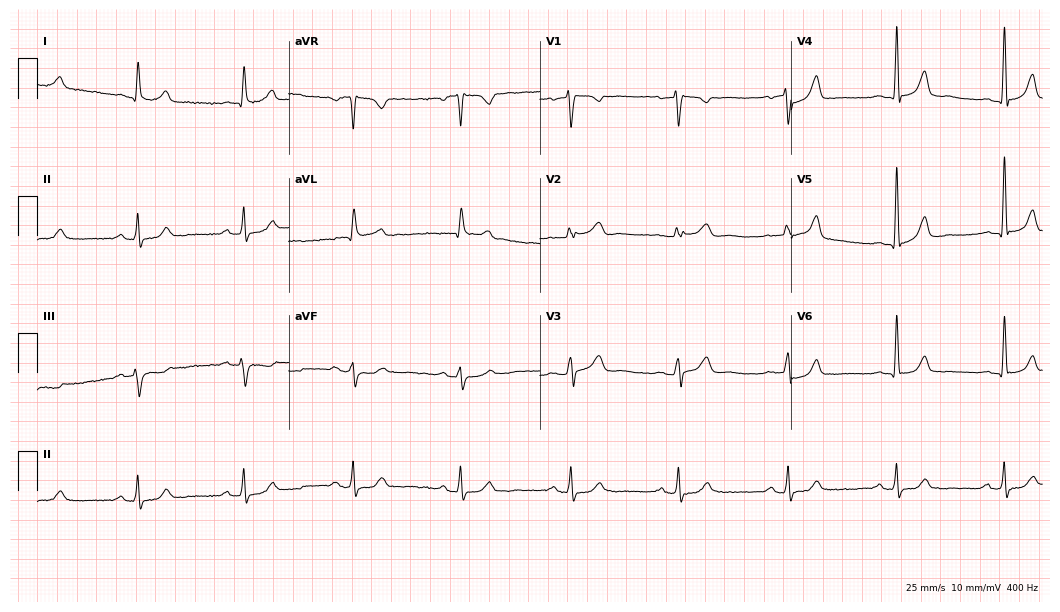
Resting 12-lead electrocardiogram. Patient: a woman, 69 years old. None of these six findings is recorded: first-degree AV block, right bundle branch block, left bundle branch block, sinus bradycardia, atrial fibrillation, sinus tachycardia. Only these six findings were labelled.